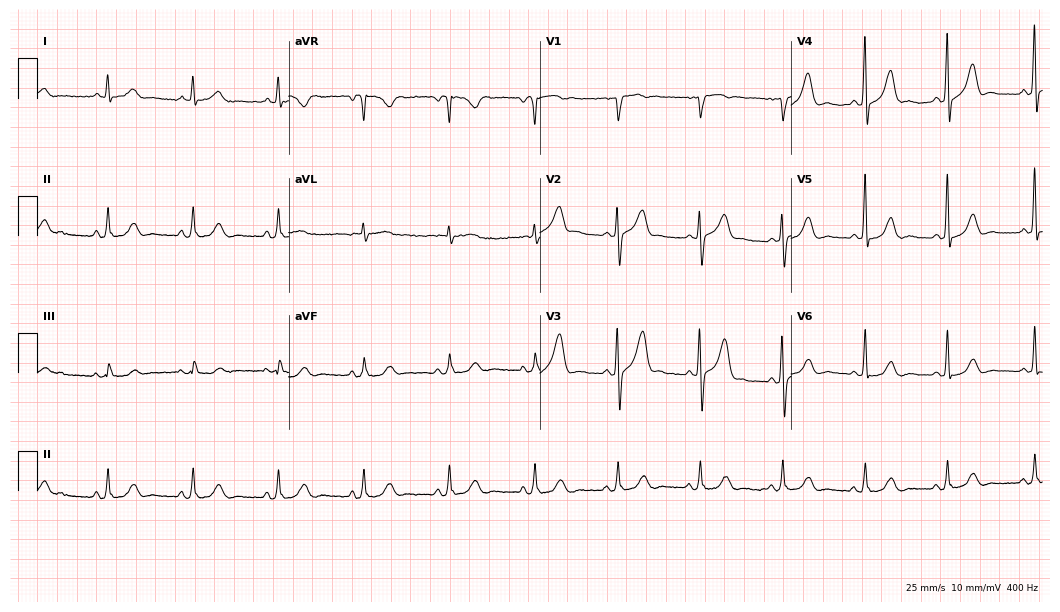
Electrocardiogram (10.2-second recording at 400 Hz), a male, 68 years old. Overall reading on record: normal ECG.